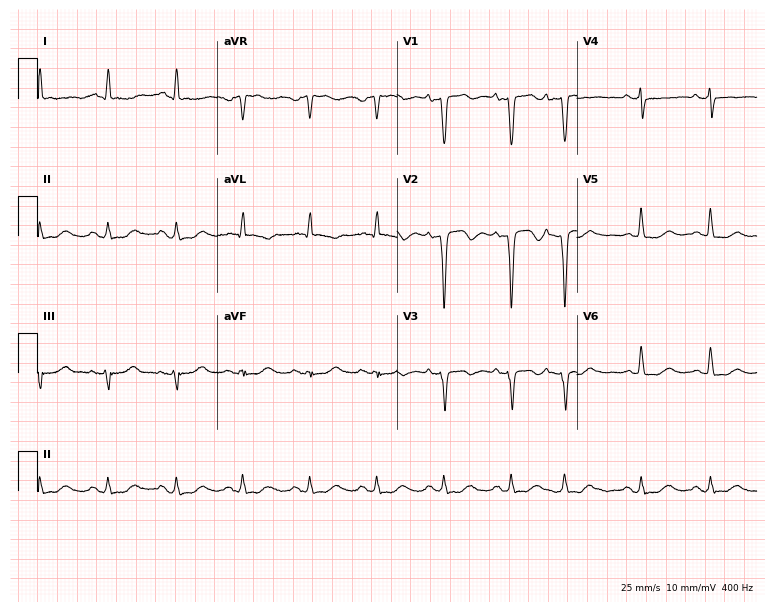
Electrocardiogram (7.3-second recording at 400 Hz), a 76-year-old male. Of the six screened findings (first-degree AV block, right bundle branch block, left bundle branch block, sinus bradycardia, atrial fibrillation, sinus tachycardia), none is recorded. Only these six findings were labelled.